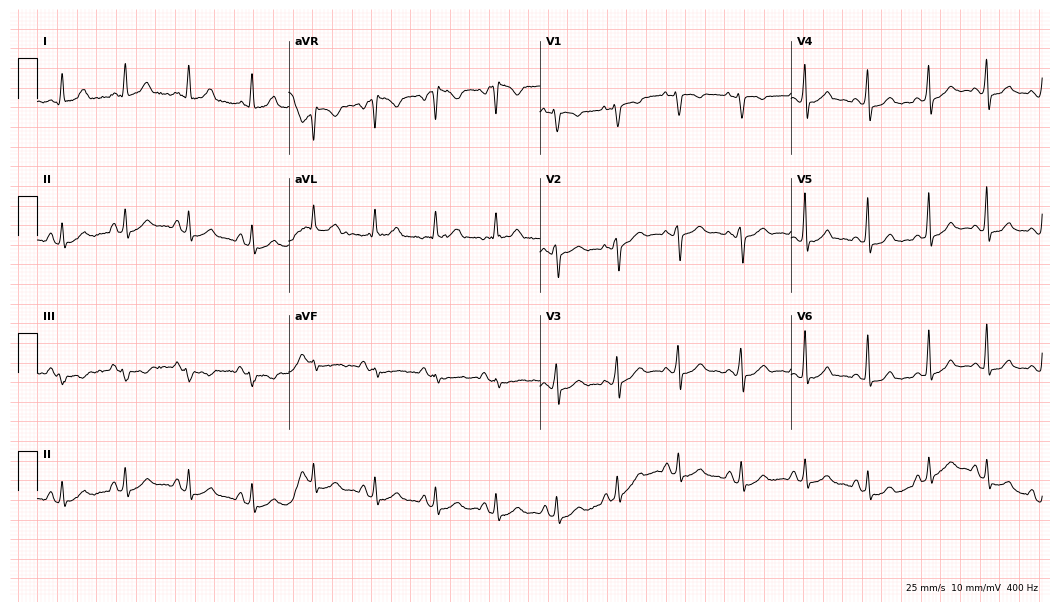
ECG — a woman, 34 years old. Labelled as a normal ECG.